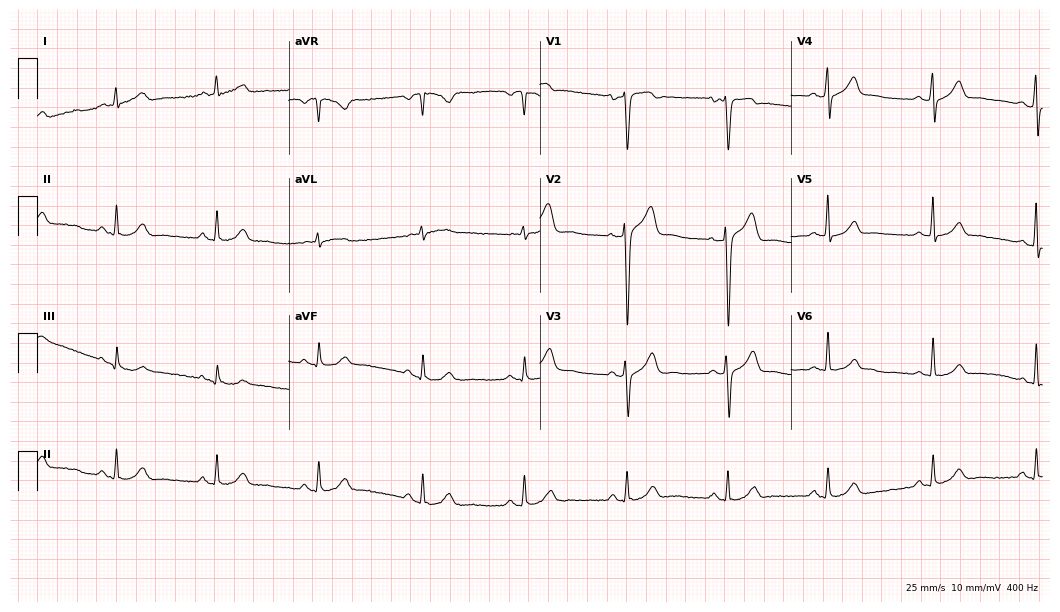
12-lead ECG (10.2-second recording at 400 Hz) from a male, 40 years old. Labelled as a normal ECG.